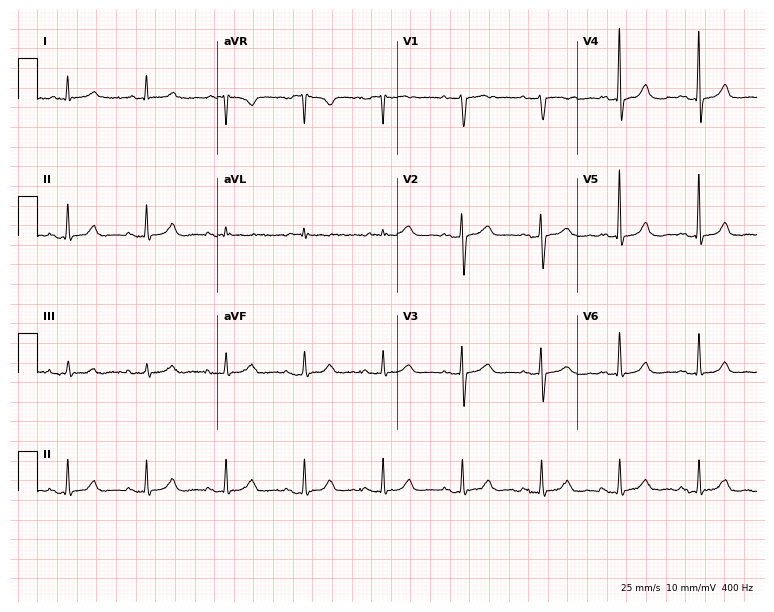
Standard 12-lead ECG recorded from an 85-year-old woman (7.3-second recording at 400 Hz). Read as a normal ECG.